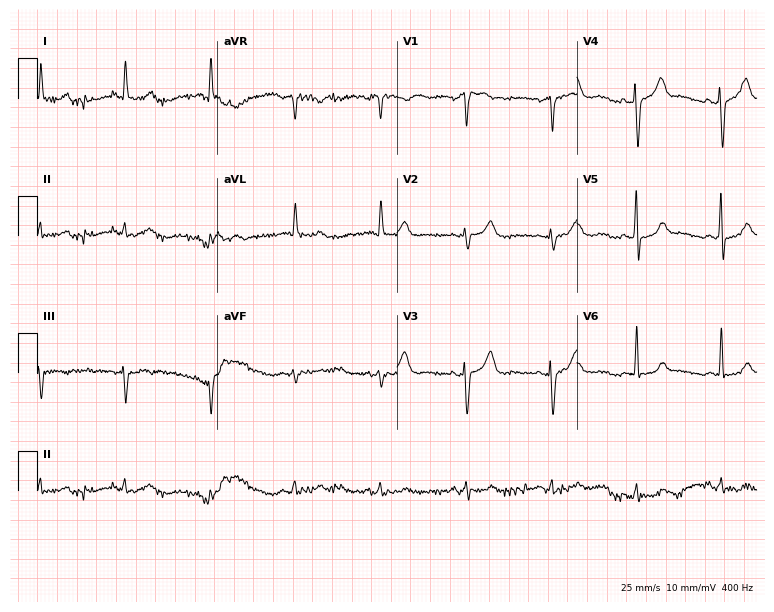
12-lead ECG from a woman, 77 years old. Screened for six findings — first-degree AV block, right bundle branch block, left bundle branch block, sinus bradycardia, atrial fibrillation, sinus tachycardia — none is recorded.